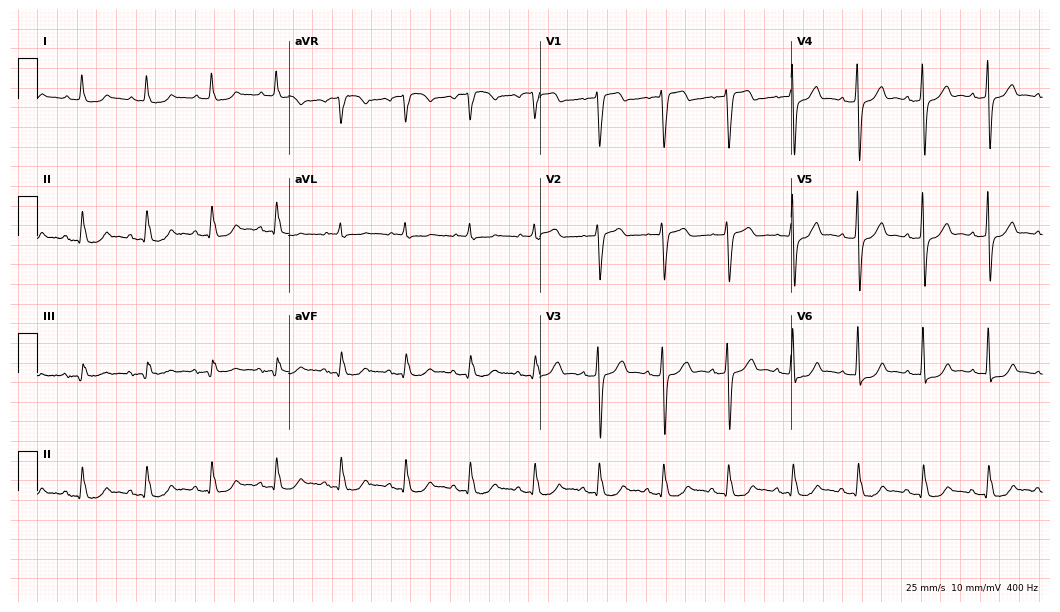
12-lead ECG from a 79-year-old man. No first-degree AV block, right bundle branch block, left bundle branch block, sinus bradycardia, atrial fibrillation or sinus tachycardia recorded for this tracing.